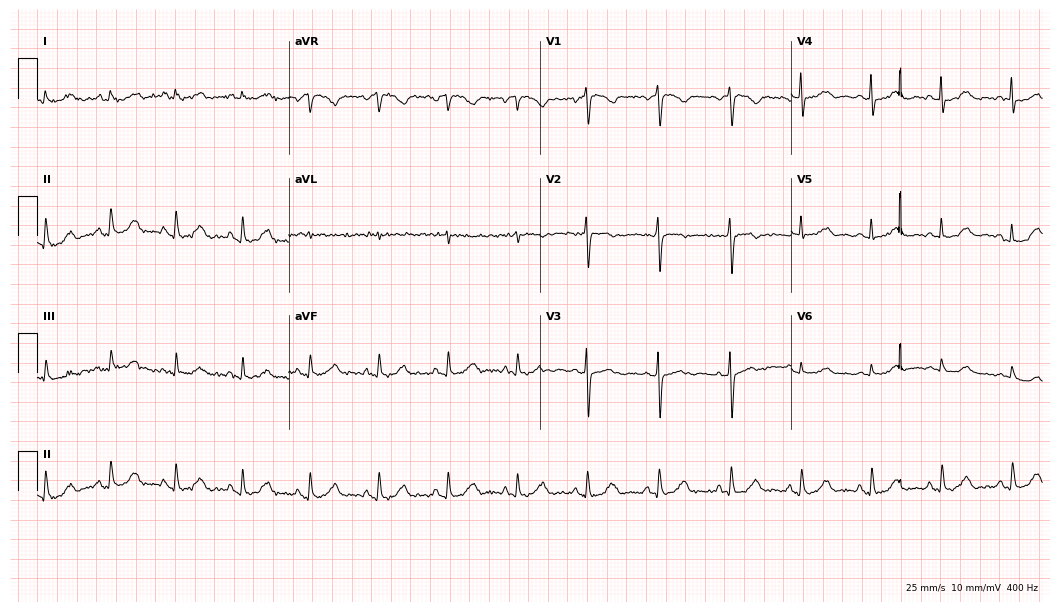
ECG (10.2-second recording at 400 Hz) — a 77-year-old woman. Screened for six findings — first-degree AV block, right bundle branch block, left bundle branch block, sinus bradycardia, atrial fibrillation, sinus tachycardia — none is recorded.